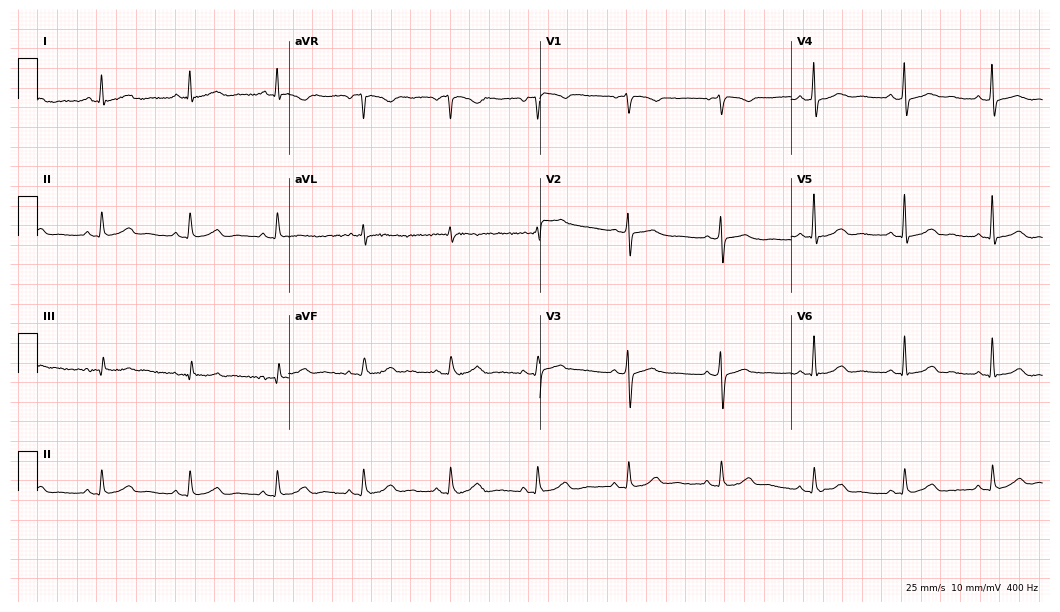
Electrocardiogram (10.2-second recording at 400 Hz), a woman, 57 years old. Overall reading on record: normal ECG.